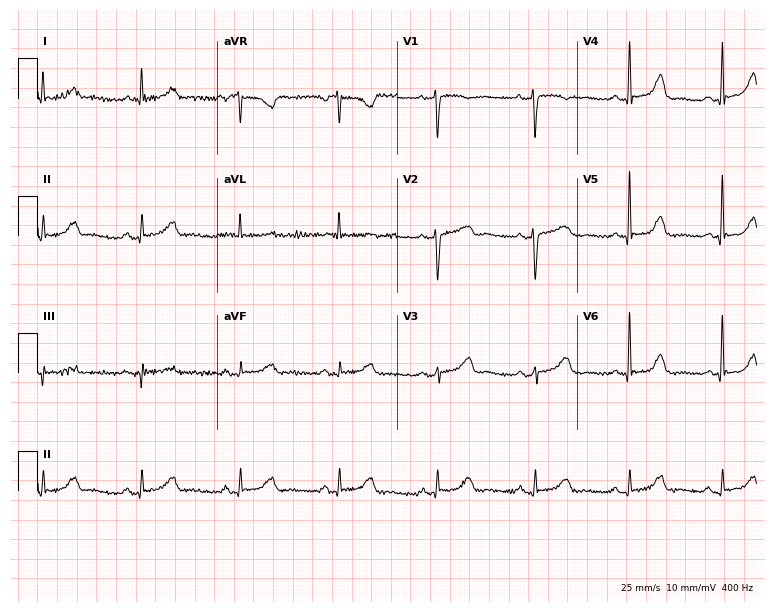
12-lead ECG from a woman, 68 years old. Screened for six findings — first-degree AV block, right bundle branch block (RBBB), left bundle branch block (LBBB), sinus bradycardia, atrial fibrillation (AF), sinus tachycardia — none is recorded. Only these six findings were labelled.